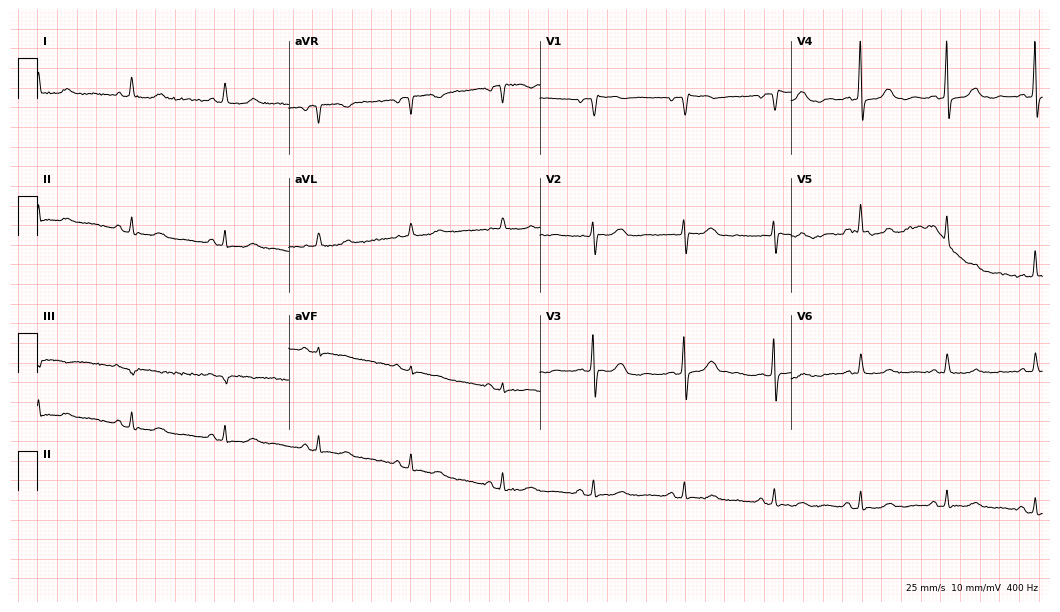
Standard 12-lead ECG recorded from an 82-year-old female patient (10.2-second recording at 400 Hz). None of these six findings is recorded: first-degree AV block, right bundle branch block (RBBB), left bundle branch block (LBBB), sinus bradycardia, atrial fibrillation (AF), sinus tachycardia.